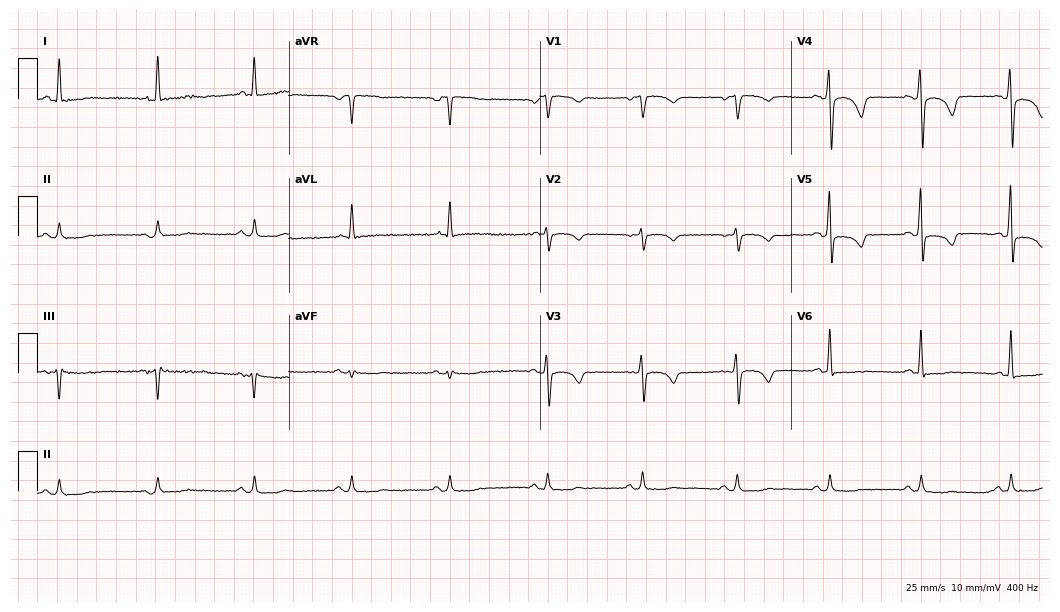
Resting 12-lead electrocardiogram. Patient: a woman, 53 years old. None of these six findings is recorded: first-degree AV block, right bundle branch block, left bundle branch block, sinus bradycardia, atrial fibrillation, sinus tachycardia. Findings outside these six are not listed.